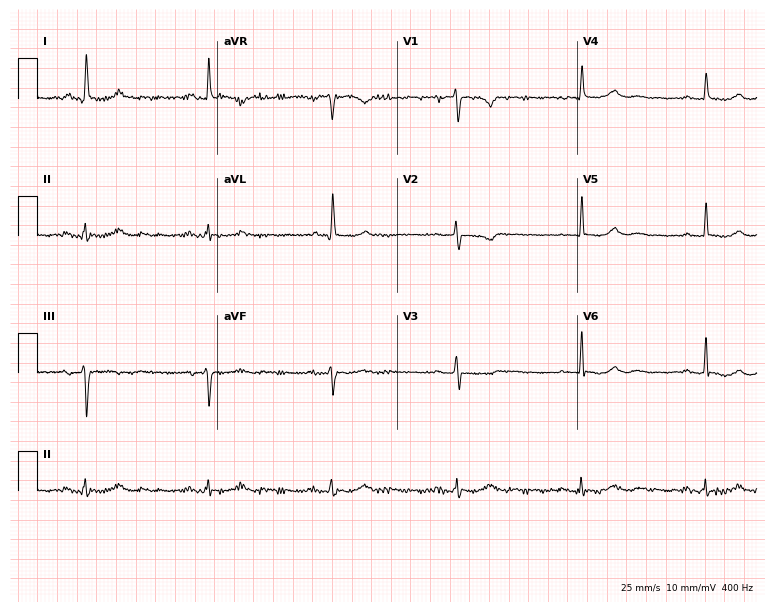
Resting 12-lead electrocardiogram (7.3-second recording at 400 Hz). Patient: a woman, 73 years old. None of these six findings is recorded: first-degree AV block, right bundle branch block, left bundle branch block, sinus bradycardia, atrial fibrillation, sinus tachycardia. Other findings, if any, are not listed.